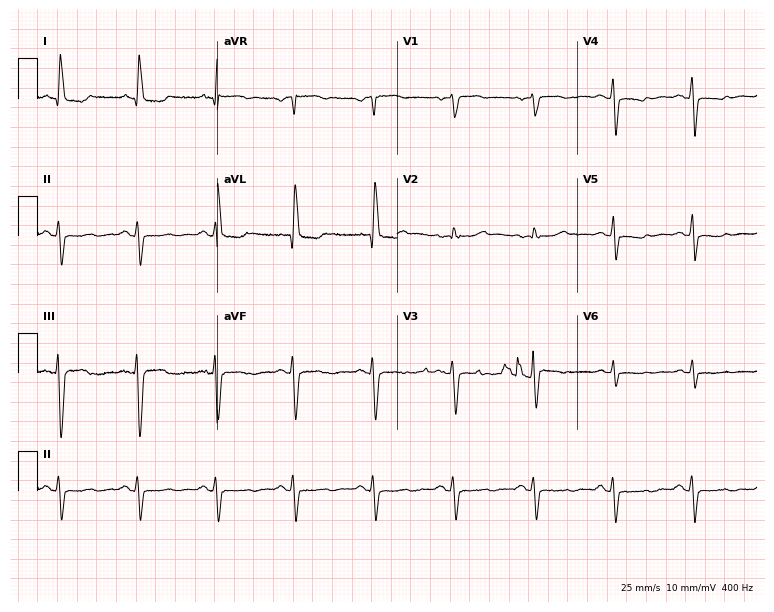
Standard 12-lead ECG recorded from a 57-year-old female patient. None of these six findings is recorded: first-degree AV block, right bundle branch block, left bundle branch block, sinus bradycardia, atrial fibrillation, sinus tachycardia.